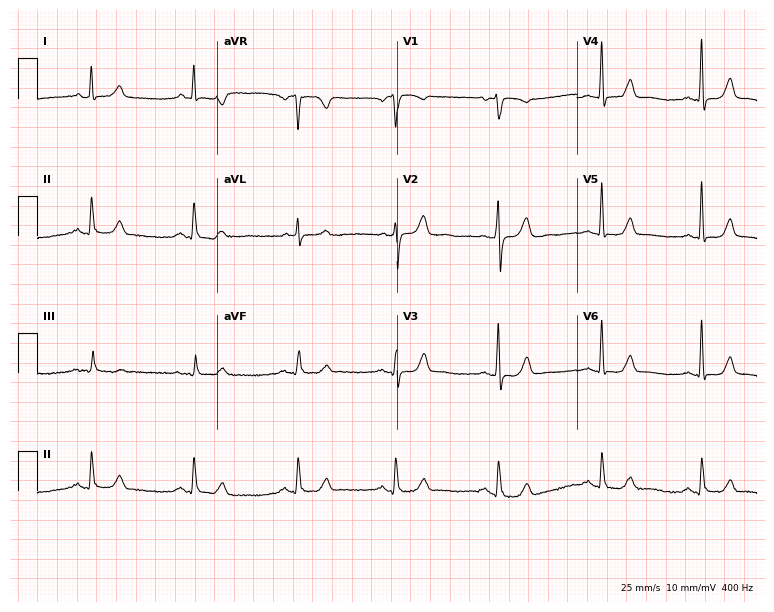
12-lead ECG (7.3-second recording at 400 Hz) from a 58-year-old female. Labelled as a normal ECG.